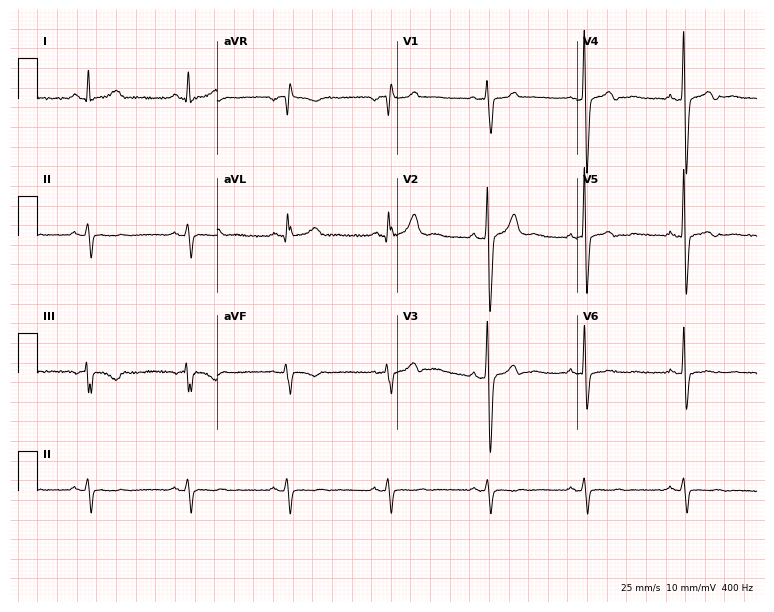
Electrocardiogram (7.3-second recording at 400 Hz), a male, 47 years old. Of the six screened findings (first-degree AV block, right bundle branch block (RBBB), left bundle branch block (LBBB), sinus bradycardia, atrial fibrillation (AF), sinus tachycardia), none is recorded. Findings outside these six are not listed.